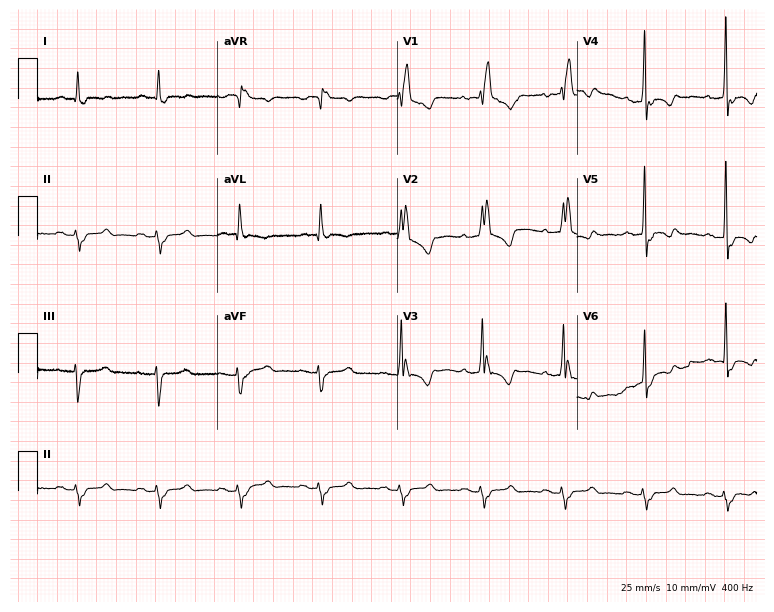
12-lead ECG from an 80-year-old male (7.3-second recording at 400 Hz). Shows right bundle branch block (RBBB).